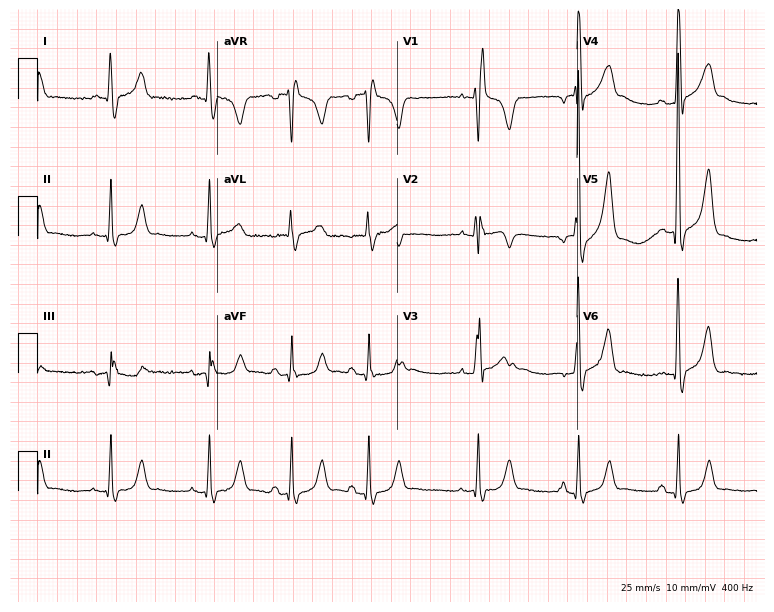
ECG — a man, 24 years old. Findings include right bundle branch block.